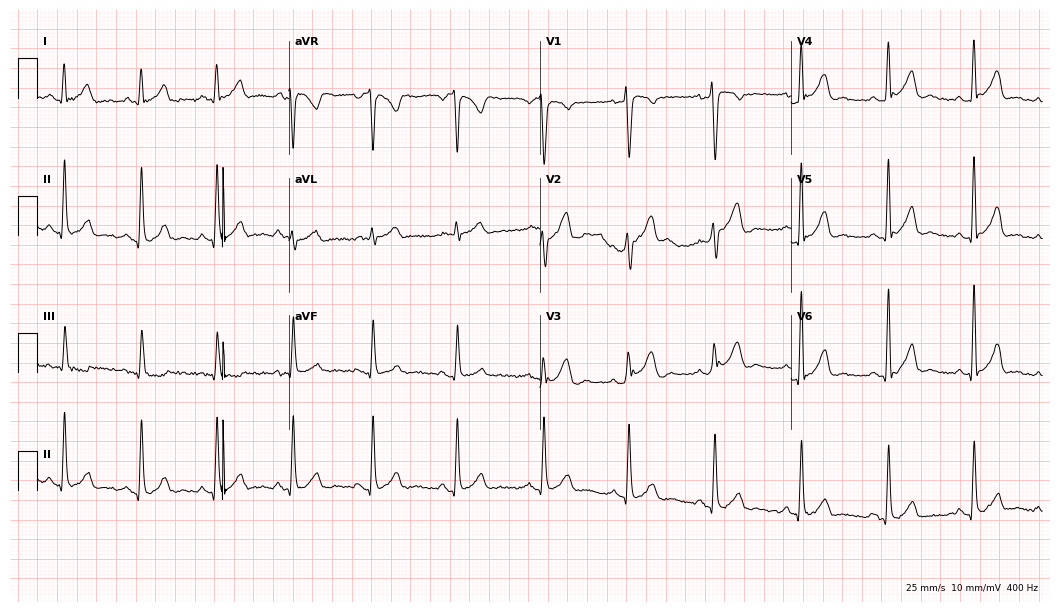
Electrocardiogram (10.2-second recording at 400 Hz), a 31-year-old man. Overall reading on record: normal ECG.